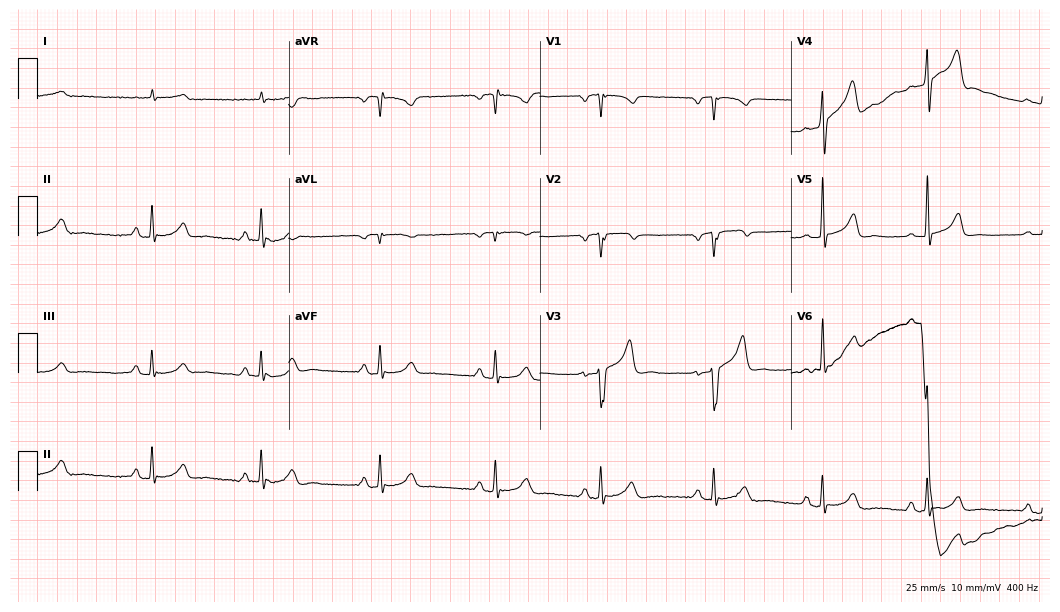
12-lead ECG from a woman, 56 years old (10.2-second recording at 400 Hz). Recorded interpretation: within normal limits.